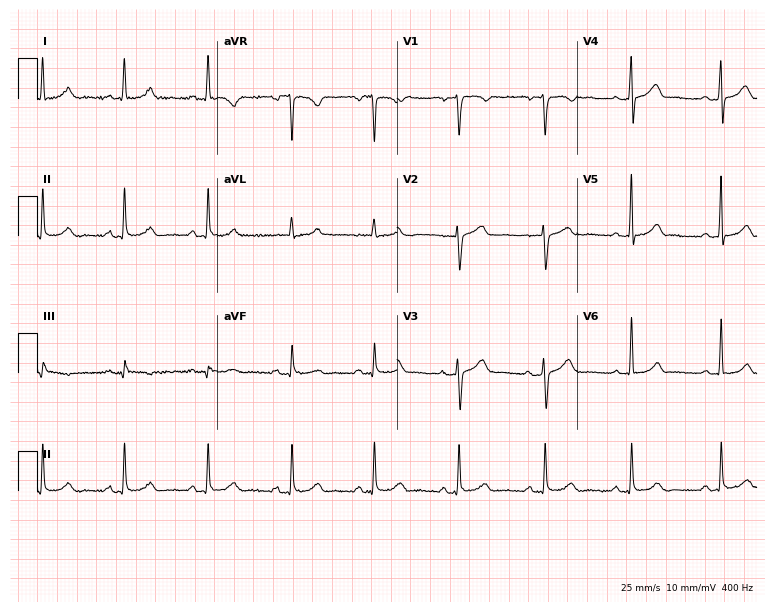
Resting 12-lead electrocardiogram (7.3-second recording at 400 Hz). Patient: a 57-year-old female. None of these six findings is recorded: first-degree AV block, right bundle branch block, left bundle branch block, sinus bradycardia, atrial fibrillation, sinus tachycardia.